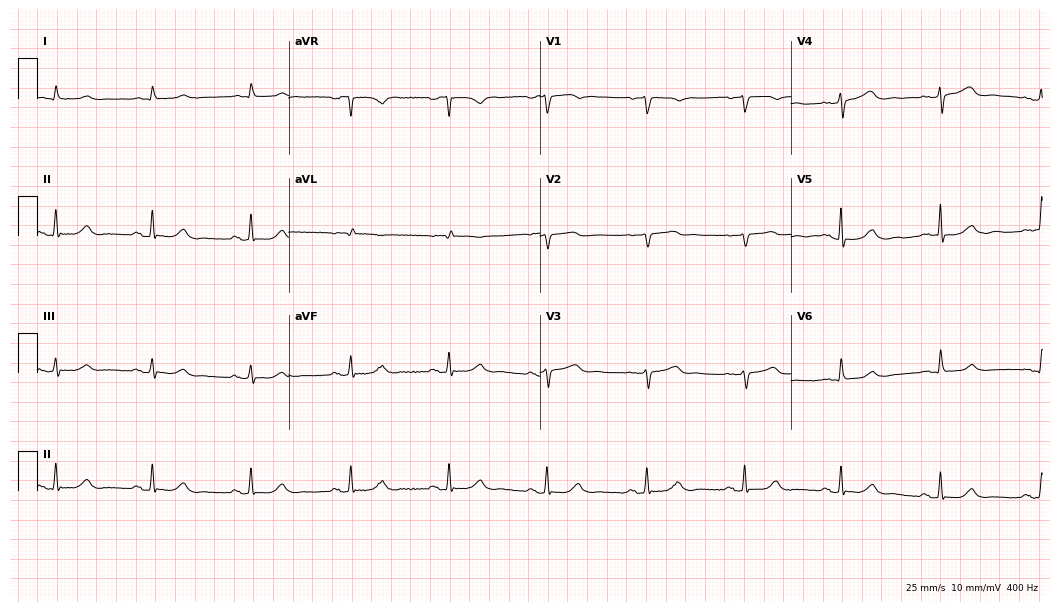
12-lead ECG from a male, 63 years old. No first-degree AV block, right bundle branch block (RBBB), left bundle branch block (LBBB), sinus bradycardia, atrial fibrillation (AF) or sinus tachycardia recorded for this tracing. Other findings, if any, are not listed.